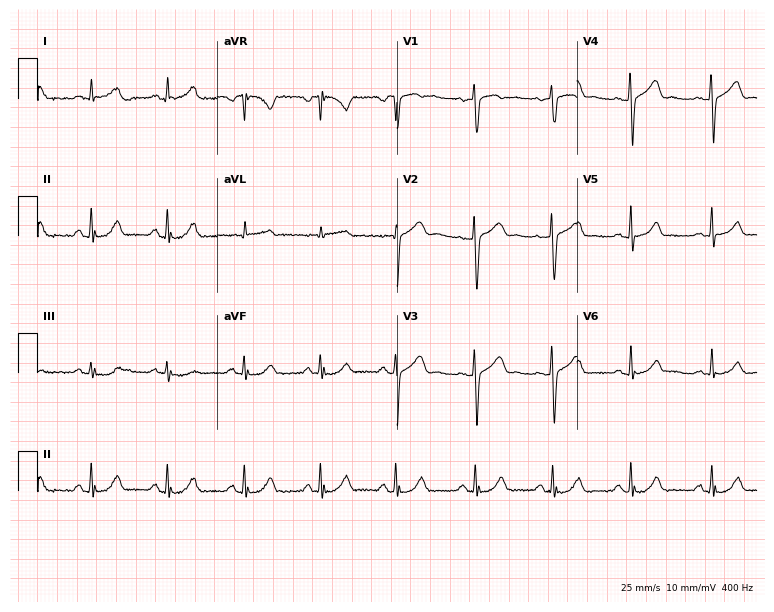
Electrocardiogram (7.3-second recording at 400 Hz), a woman, 42 years old. Overall reading on record: normal ECG.